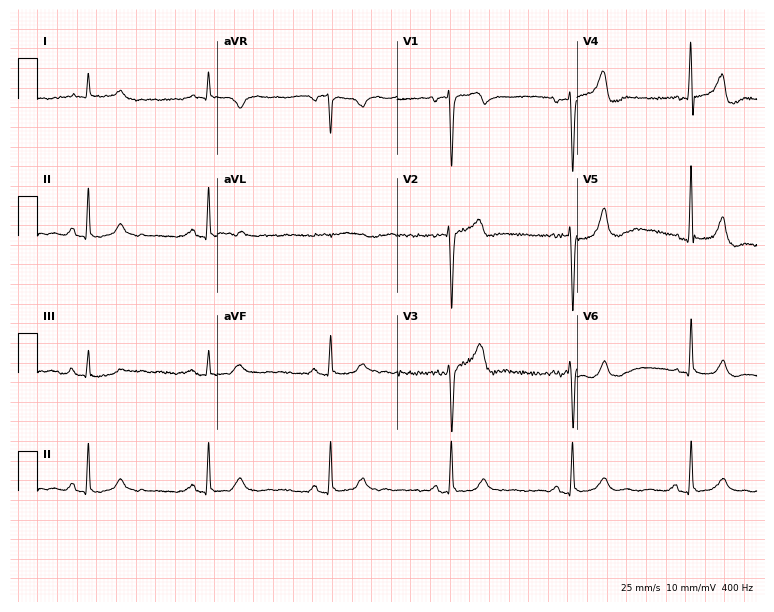
Electrocardiogram (7.3-second recording at 400 Hz), a 70-year-old man. Of the six screened findings (first-degree AV block, right bundle branch block (RBBB), left bundle branch block (LBBB), sinus bradycardia, atrial fibrillation (AF), sinus tachycardia), none is recorded.